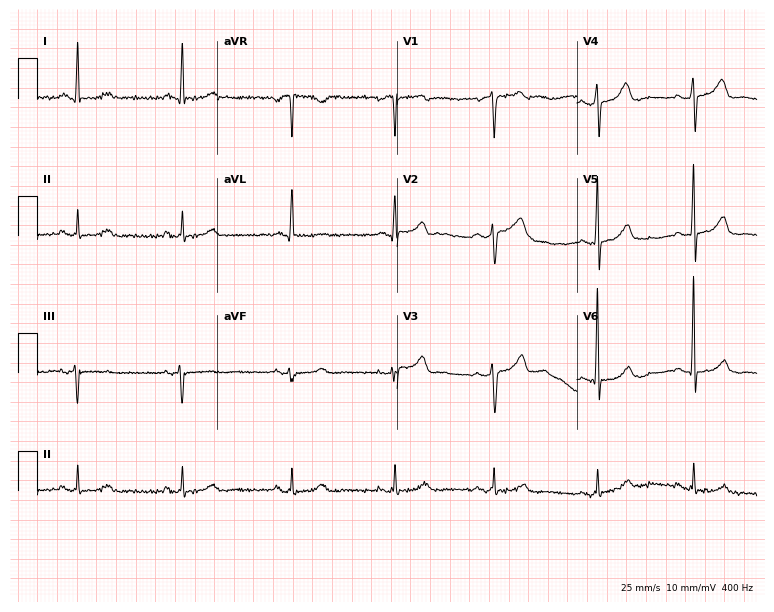
Electrocardiogram, a 53-year-old woman. Overall reading on record: normal ECG.